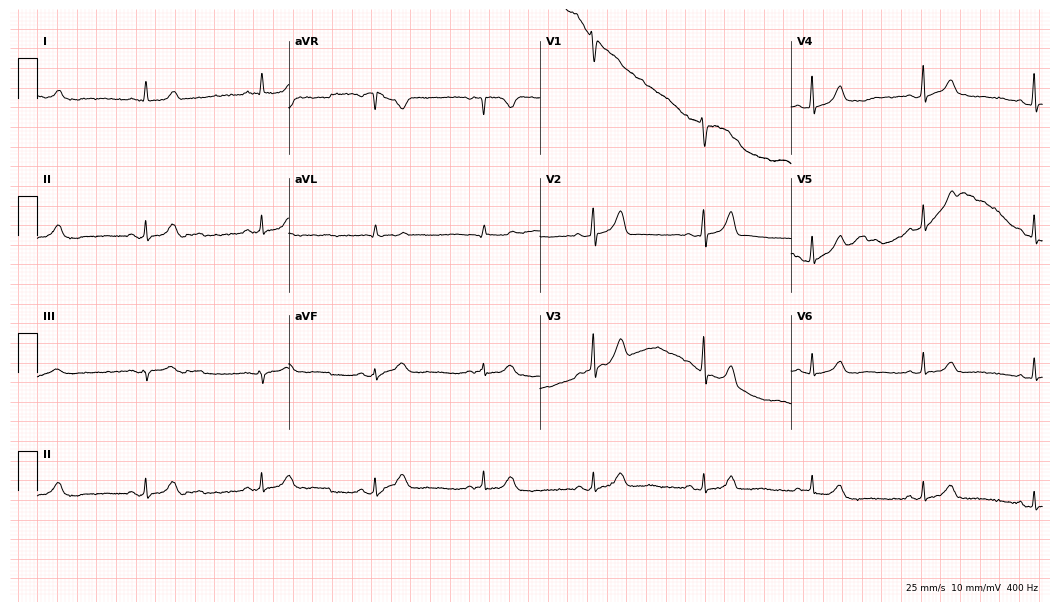
12-lead ECG (10.2-second recording at 400 Hz) from a woman, 52 years old. Screened for six findings — first-degree AV block, right bundle branch block, left bundle branch block, sinus bradycardia, atrial fibrillation, sinus tachycardia — none is recorded.